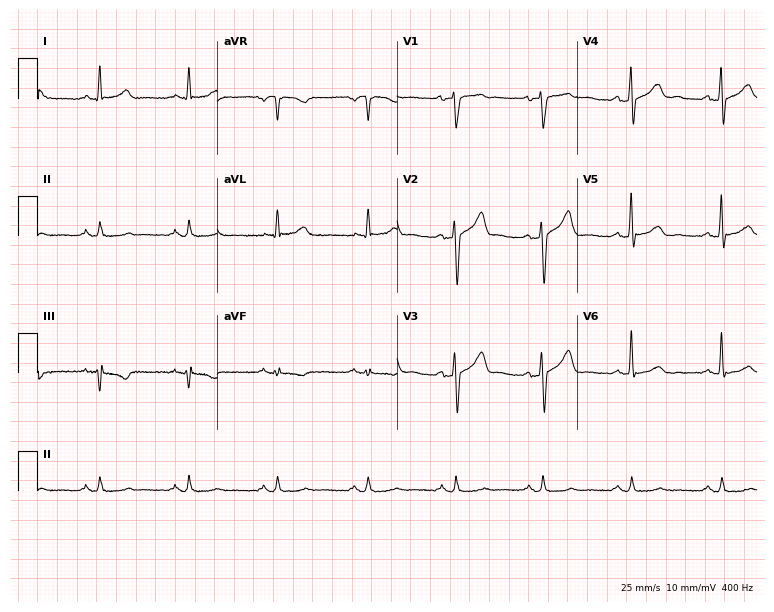
ECG — a 63-year-old male patient. Screened for six findings — first-degree AV block, right bundle branch block, left bundle branch block, sinus bradycardia, atrial fibrillation, sinus tachycardia — none is recorded. Only these six findings were labelled.